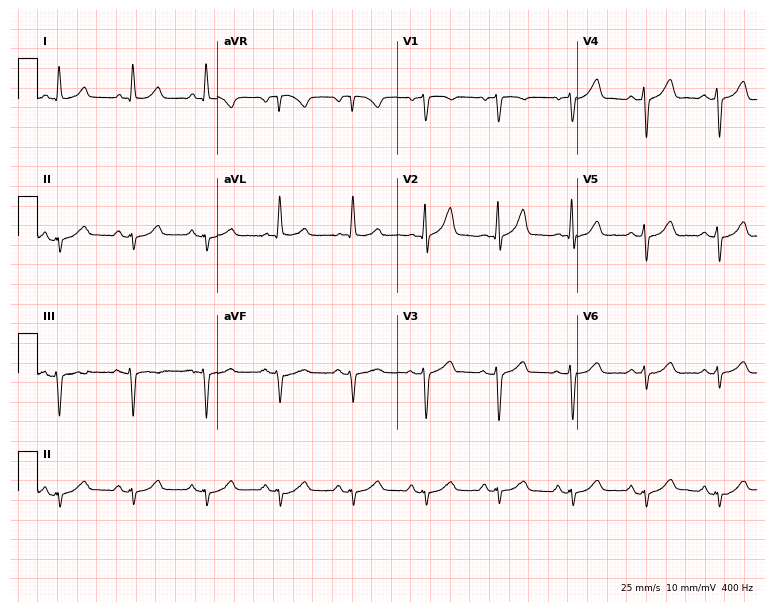
Resting 12-lead electrocardiogram (7.3-second recording at 400 Hz). Patient: a male, 72 years old. None of these six findings is recorded: first-degree AV block, right bundle branch block, left bundle branch block, sinus bradycardia, atrial fibrillation, sinus tachycardia. Only these six findings were labelled.